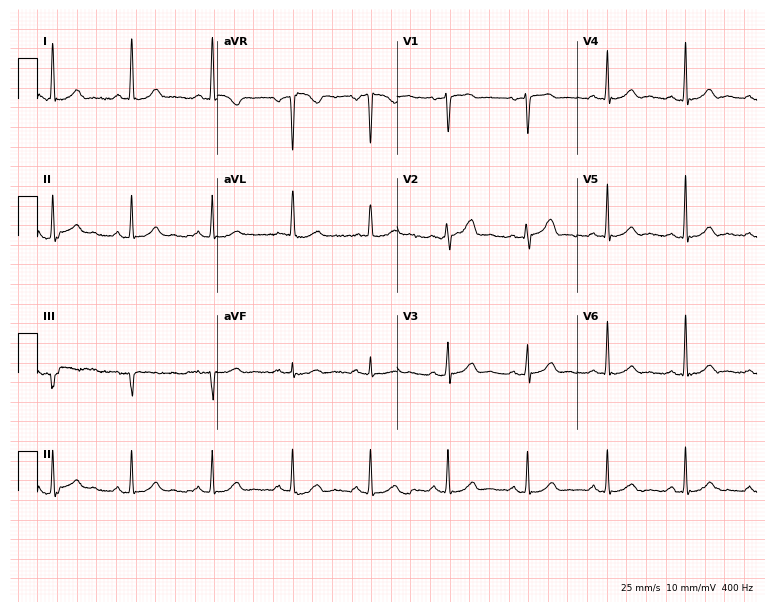
Resting 12-lead electrocardiogram (7.3-second recording at 400 Hz). Patient: a 77-year-old woman. Read as a normal ECG.